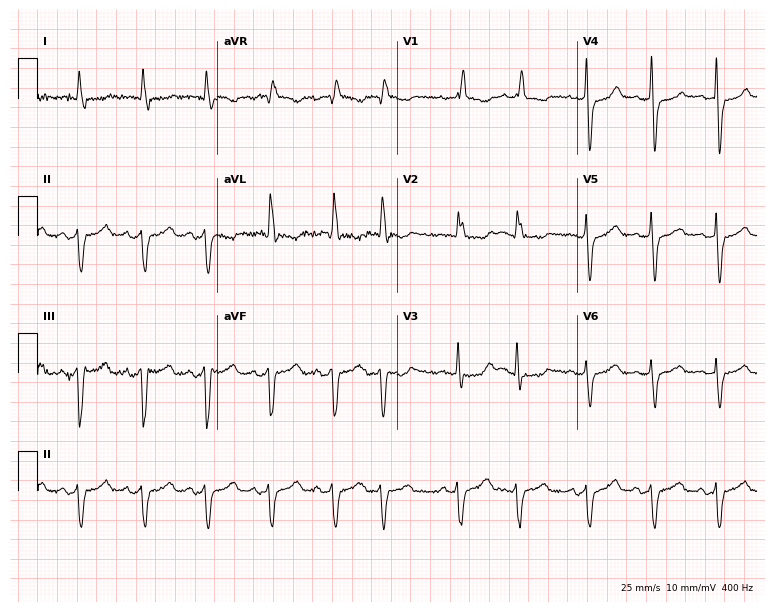
ECG (7.3-second recording at 400 Hz) — a woman, 73 years old. Findings include right bundle branch block.